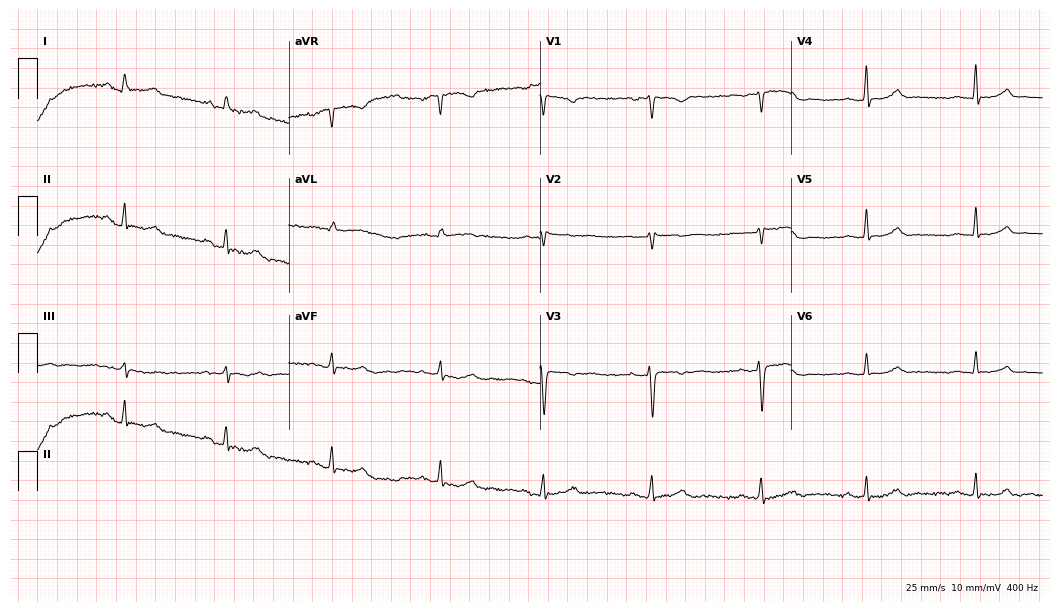
Resting 12-lead electrocardiogram. Patient: a woman, 46 years old. None of these six findings is recorded: first-degree AV block, right bundle branch block (RBBB), left bundle branch block (LBBB), sinus bradycardia, atrial fibrillation (AF), sinus tachycardia. Only these six findings were labelled.